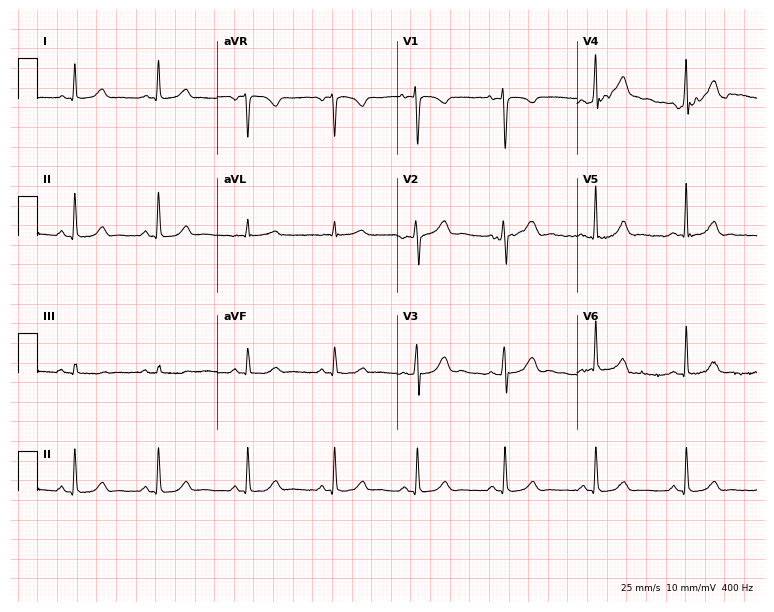
Standard 12-lead ECG recorded from a female, 32 years old. Read as a normal ECG.